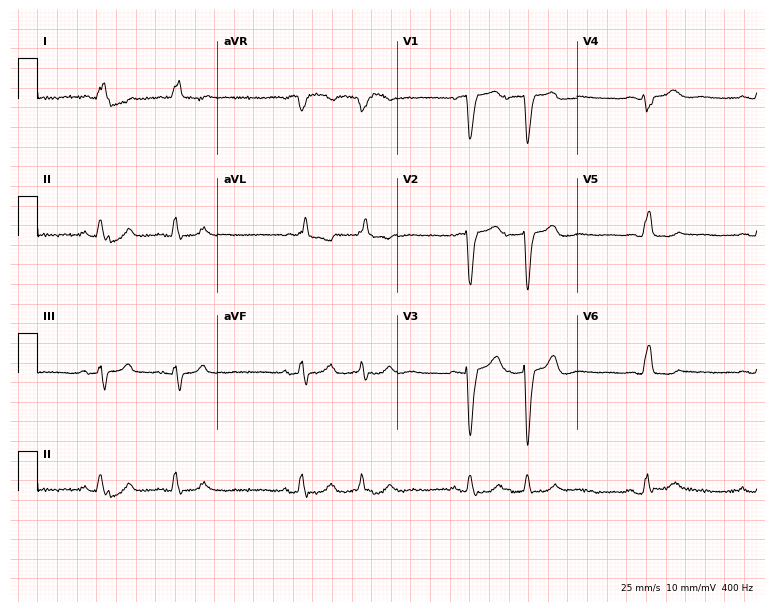
Electrocardiogram (7.3-second recording at 400 Hz), a woman, 82 years old. Interpretation includes left bundle branch block.